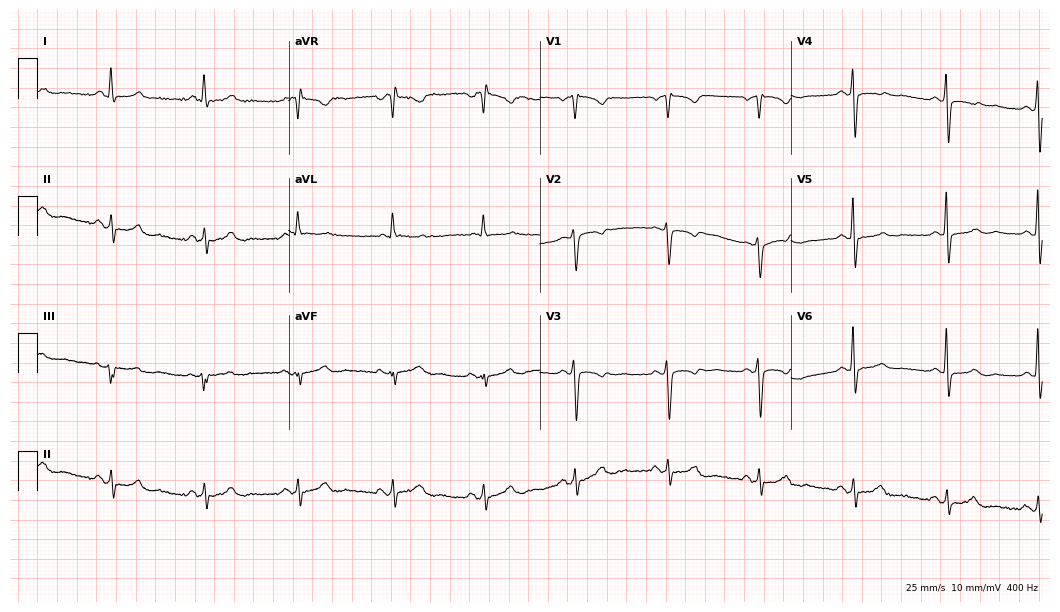
12-lead ECG from a 50-year-old woman. No first-degree AV block, right bundle branch block, left bundle branch block, sinus bradycardia, atrial fibrillation or sinus tachycardia recorded for this tracing.